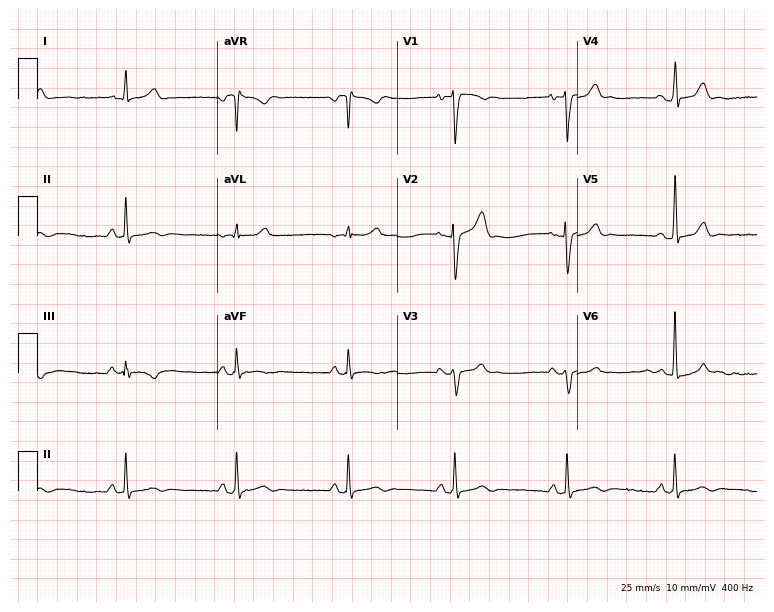
12-lead ECG from a 33-year-old male patient. Recorded interpretation: within normal limits.